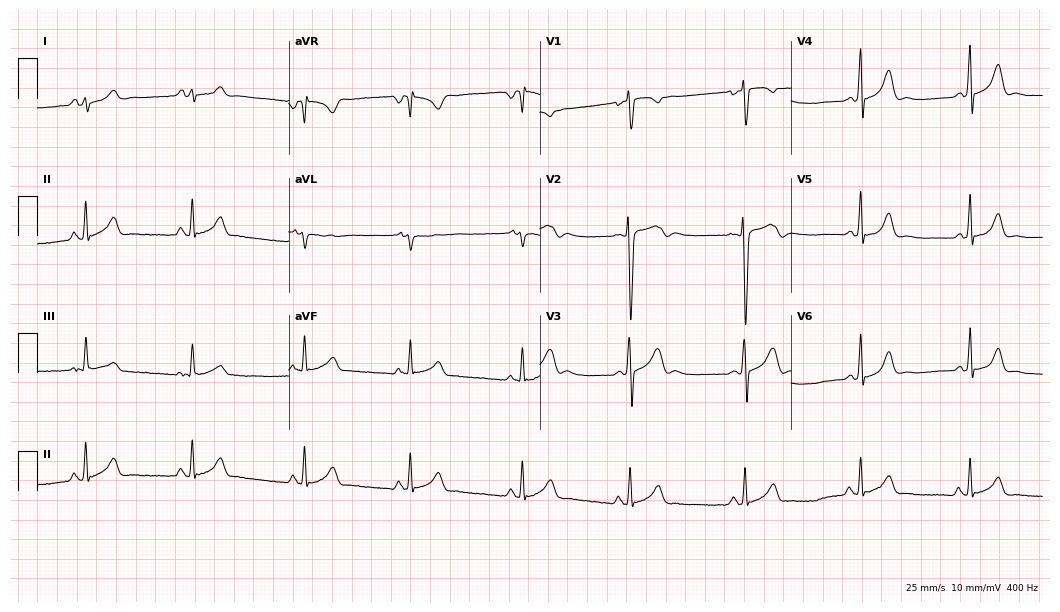
Resting 12-lead electrocardiogram. Patient: a female, 29 years old. Read as a normal ECG.